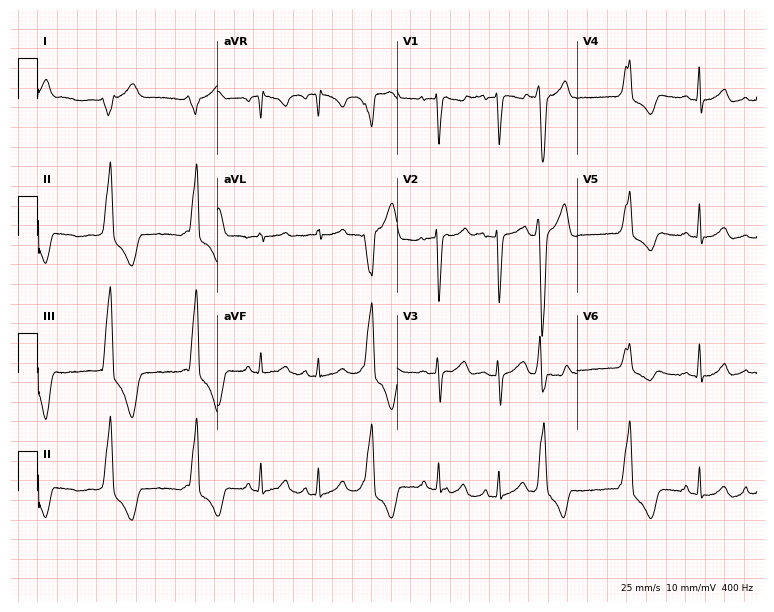
12-lead ECG from a 28-year-old female patient (7.3-second recording at 400 Hz). No first-degree AV block, right bundle branch block, left bundle branch block, sinus bradycardia, atrial fibrillation or sinus tachycardia recorded for this tracing.